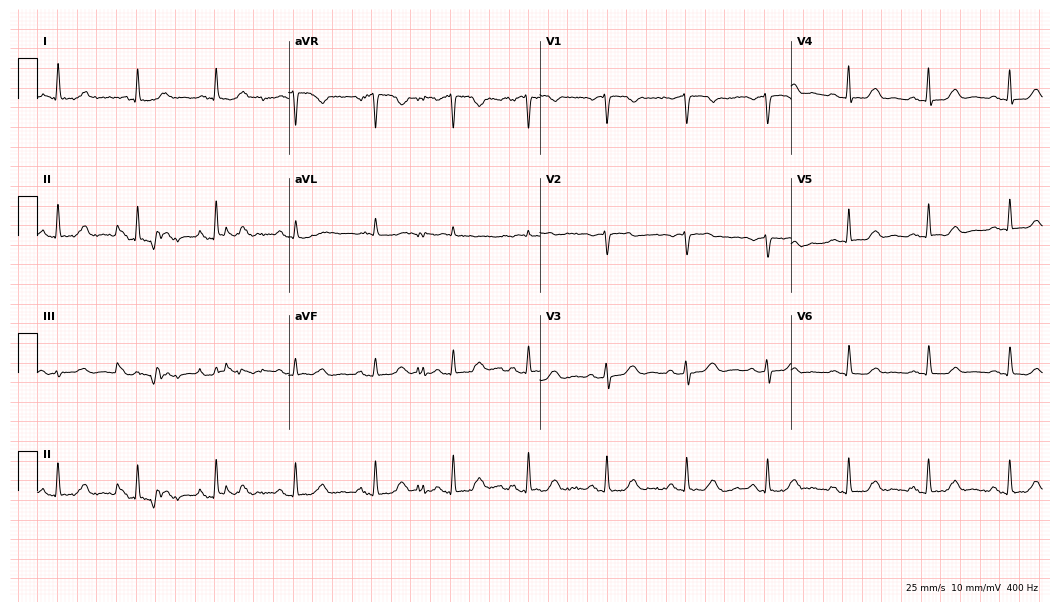
12-lead ECG from a 70-year-old woman. No first-degree AV block, right bundle branch block, left bundle branch block, sinus bradycardia, atrial fibrillation or sinus tachycardia recorded for this tracing.